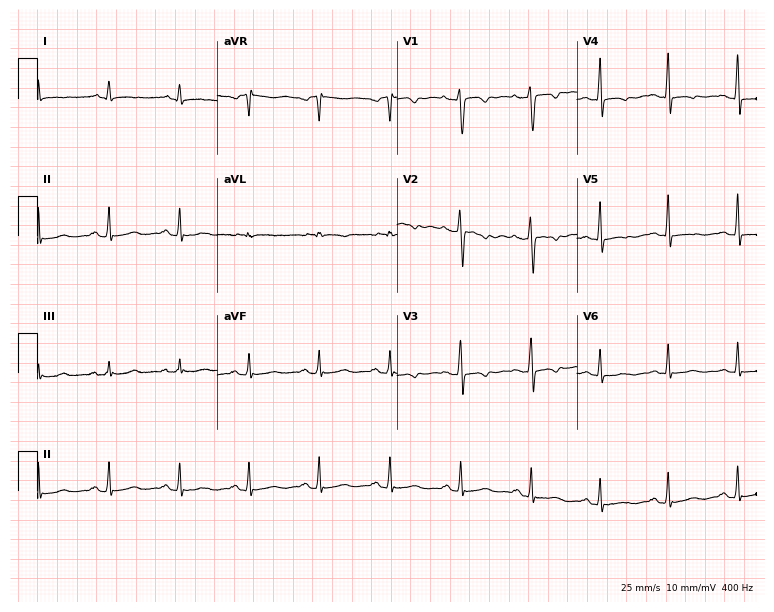
Standard 12-lead ECG recorded from a 26-year-old female (7.3-second recording at 400 Hz). None of these six findings is recorded: first-degree AV block, right bundle branch block (RBBB), left bundle branch block (LBBB), sinus bradycardia, atrial fibrillation (AF), sinus tachycardia.